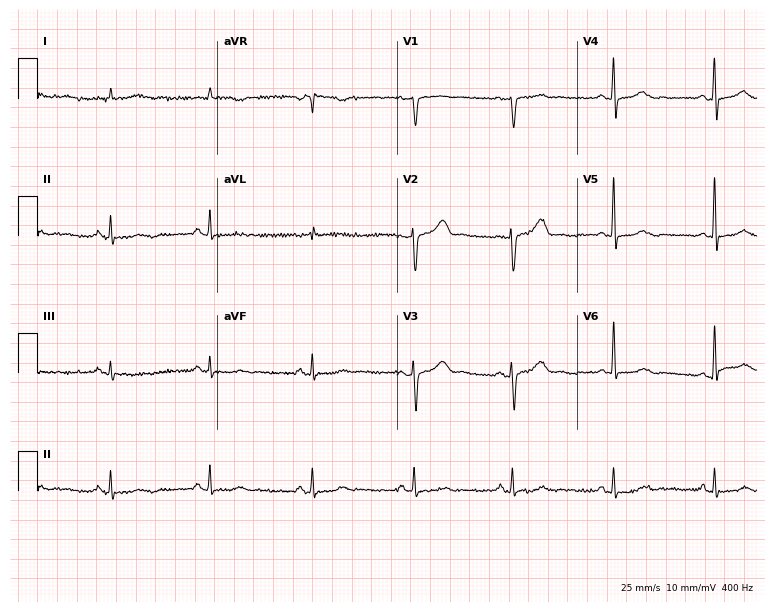
Electrocardiogram (7.3-second recording at 400 Hz), a 68-year-old female. Overall reading on record: normal ECG.